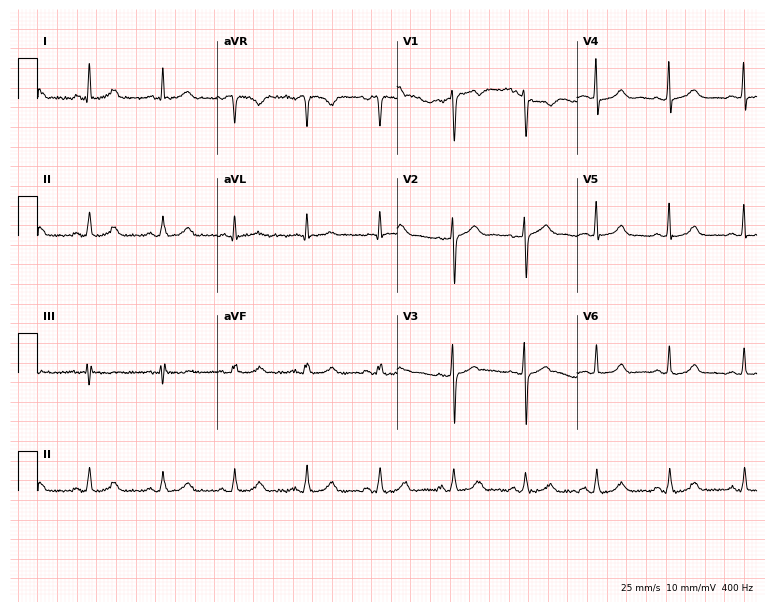
12-lead ECG from a female, 43 years old. No first-degree AV block, right bundle branch block (RBBB), left bundle branch block (LBBB), sinus bradycardia, atrial fibrillation (AF) or sinus tachycardia recorded for this tracing. Findings outside these six are not listed.